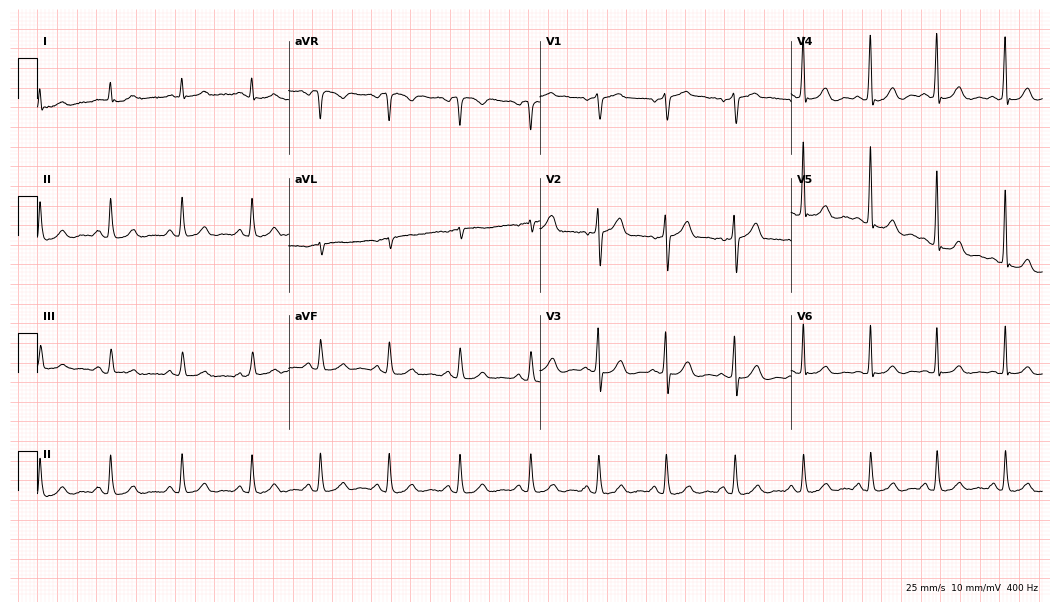
12-lead ECG from a male patient, 65 years old. No first-degree AV block, right bundle branch block, left bundle branch block, sinus bradycardia, atrial fibrillation or sinus tachycardia recorded for this tracing. Only these six findings were labelled.